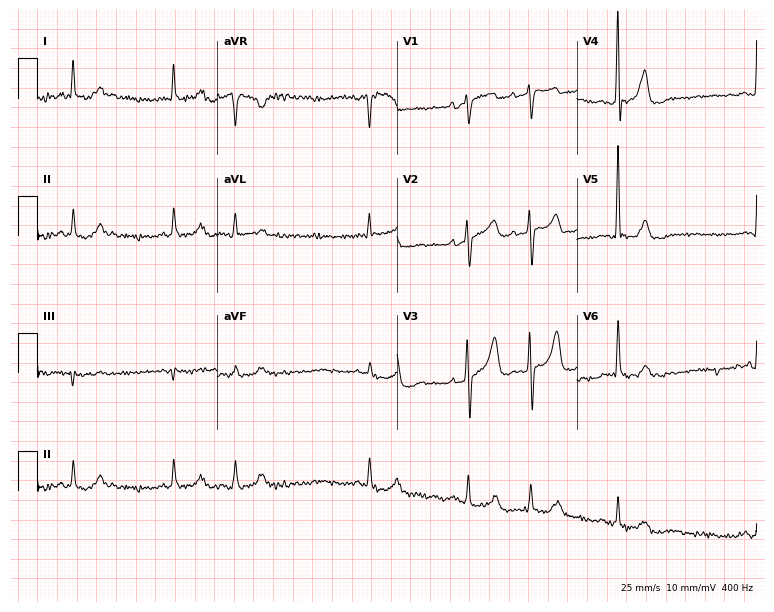
12-lead ECG from a 73-year-old male patient. Screened for six findings — first-degree AV block, right bundle branch block, left bundle branch block, sinus bradycardia, atrial fibrillation, sinus tachycardia — none is recorded. Only these six findings were labelled.